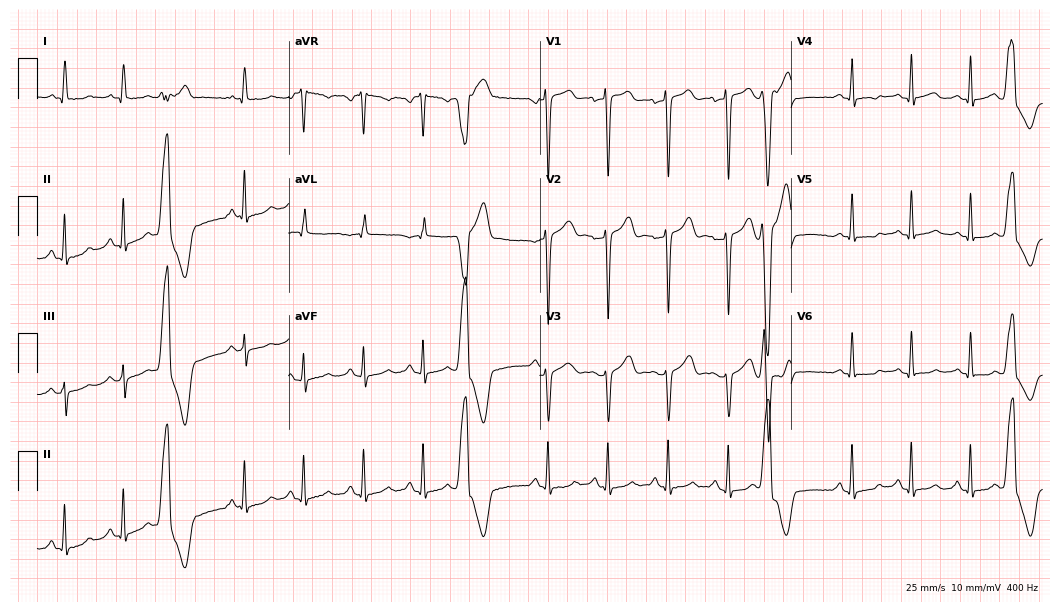
Electrocardiogram, a female, 39 years old. Of the six screened findings (first-degree AV block, right bundle branch block, left bundle branch block, sinus bradycardia, atrial fibrillation, sinus tachycardia), none is recorded. Findings outside these six are not listed.